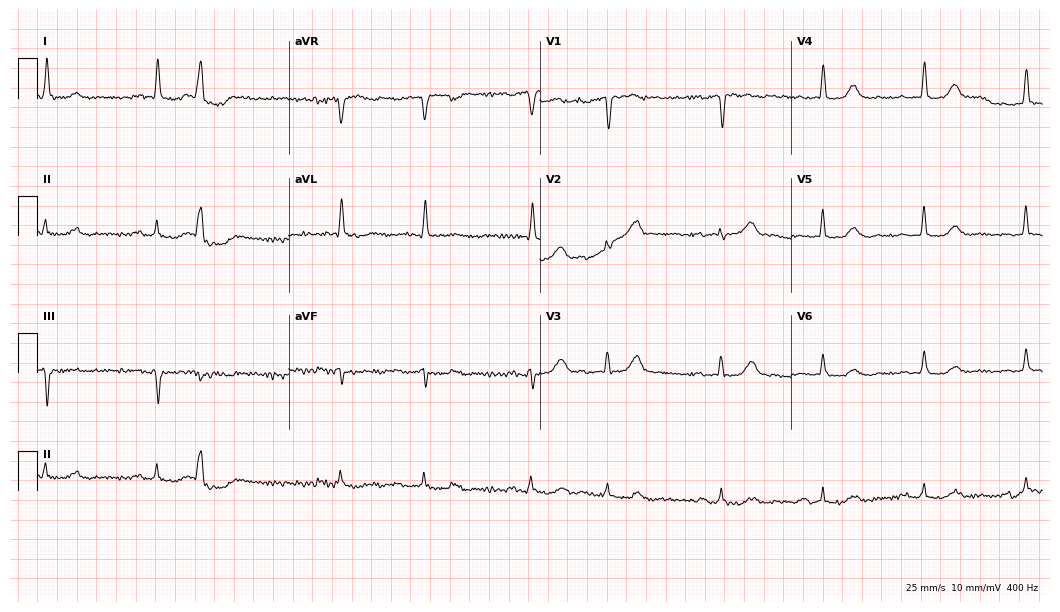
Resting 12-lead electrocardiogram (10.2-second recording at 400 Hz). Patient: a man, 83 years old. None of these six findings is recorded: first-degree AV block, right bundle branch block (RBBB), left bundle branch block (LBBB), sinus bradycardia, atrial fibrillation (AF), sinus tachycardia.